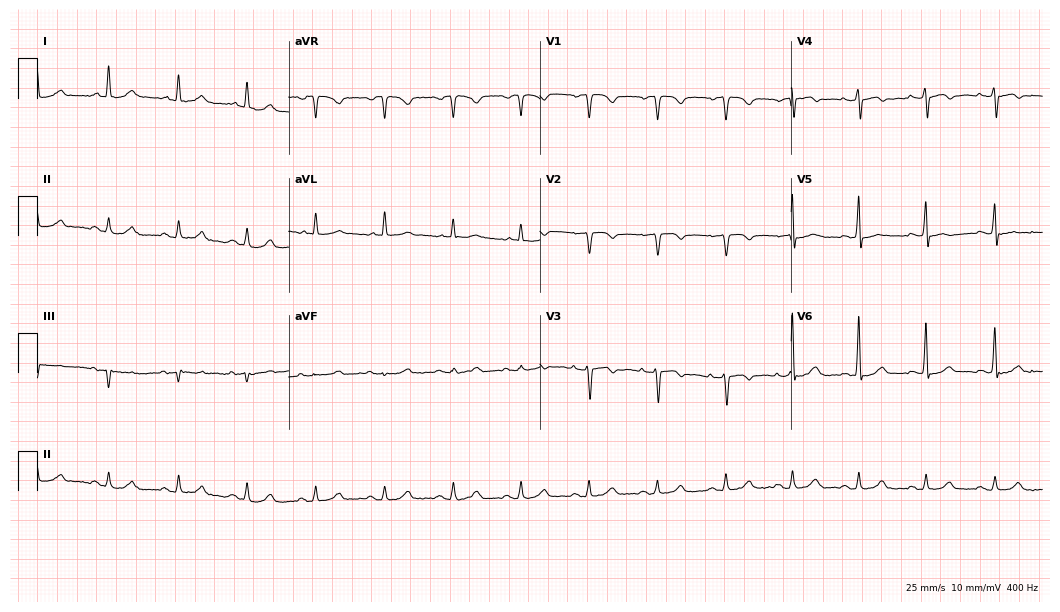
12-lead ECG from an 81-year-old male patient. Screened for six findings — first-degree AV block, right bundle branch block, left bundle branch block, sinus bradycardia, atrial fibrillation, sinus tachycardia — none is recorded. Other findings, if any, are not listed.